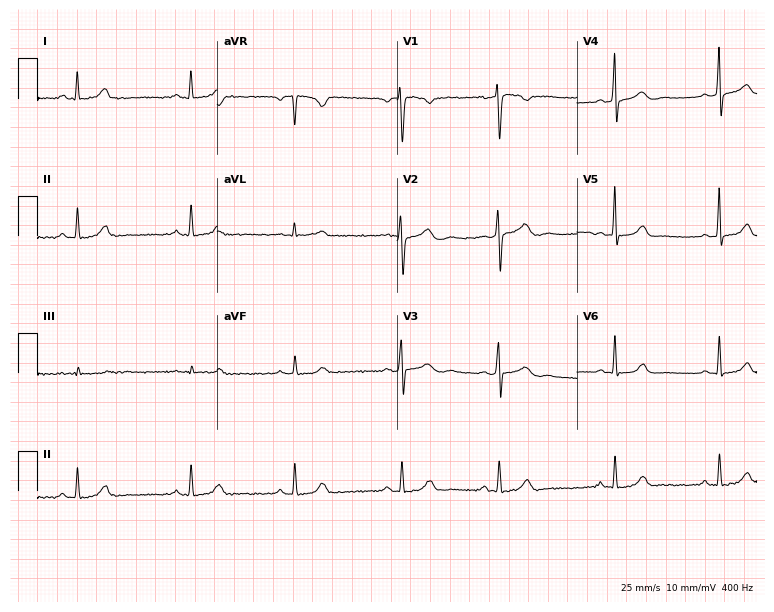
12-lead ECG from a 43-year-old woman (7.3-second recording at 400 Hz). No first-degree AV block, right bundle branch block (RBBB), left bundle branch block (LBBB), sinus bradycardia, atrial fibrillation (AF) or sinus tachycardia recorded for this tracing. Only these six findings were labelled.